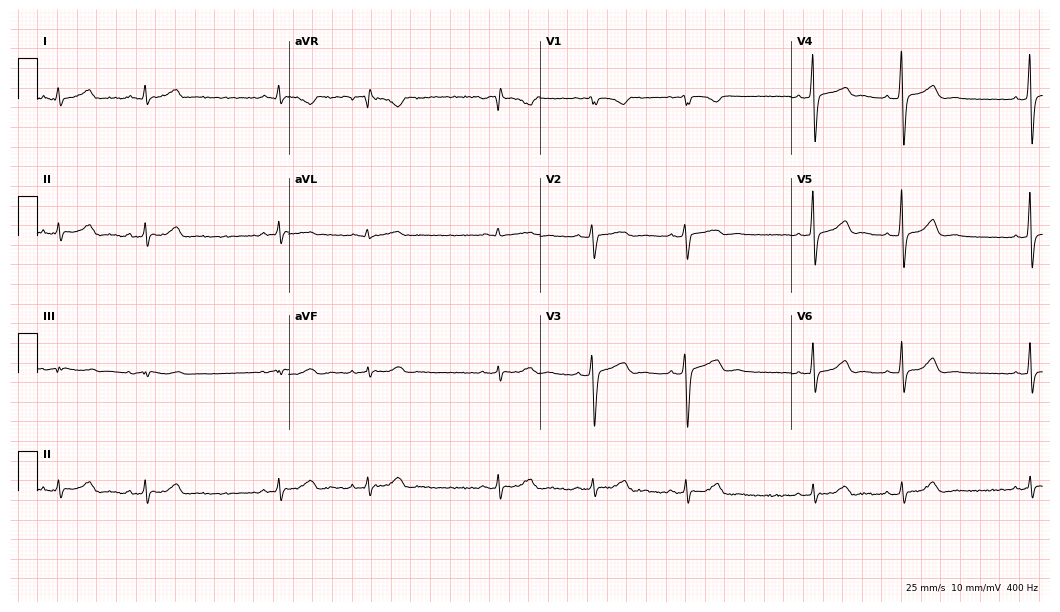
12-lead ECG (10.2-second recording at 400 Hz) from a 20-year-old female. Screened for six findings — first-degree AV block, right bundle branch block, left bundle branch block, sinus bradycardia, atrial fibrillation, sinus tachycardia — none is recorded. Findings outside these six are not listed.